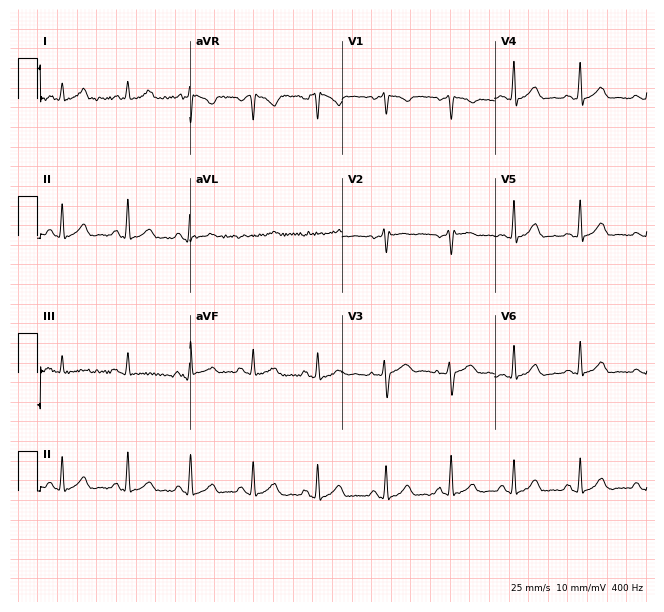
ECG — a female patient, 19 years old. Screened for six findings — first-degree AV block, right bundle branch block, left bundle branch block, sinus bradycardia, atrial fibrillation, sinus tachycardia — none is recorded. Other findings, if any, are not listed.